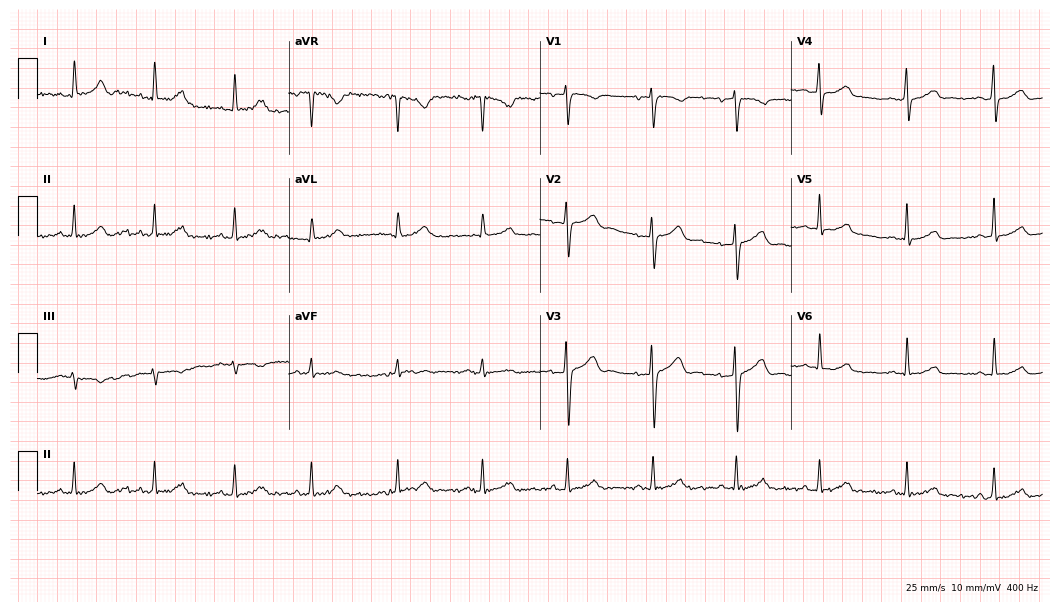
Resting 12-lead electrocardiogram. Patient: a 40-year-old woman. None of these six findings is recorded: first-degree AV block, right bundle branch block, left bundle branch block, sinus bradycardia, atrial fibrillation, sinus tachycardia. Other findings, if any, are not listed.